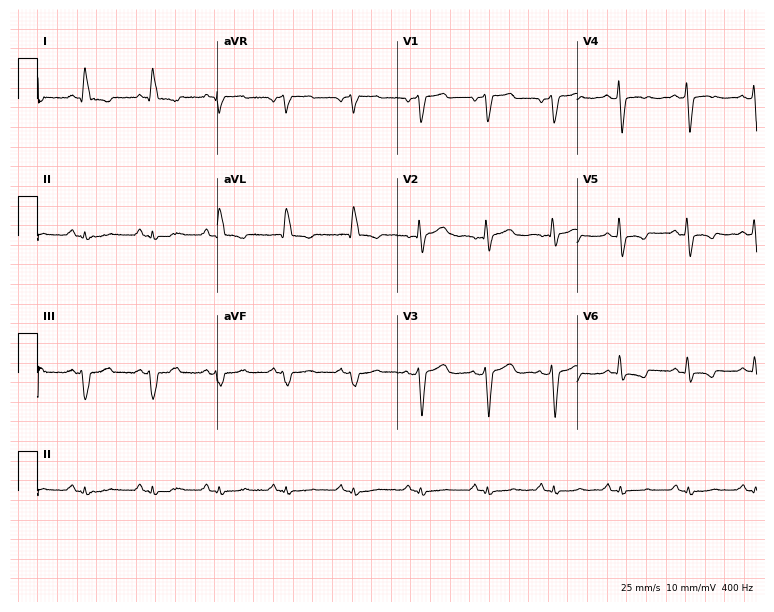
12-lead ECG from a 61-year-old woman (7.3-second recording at 400 Hz). No first-degree AV block, right bundle branch block, left bundle branch block, sinus bradycardia, atrial fibrillation or sinus tachycardia recorded for this tracing.